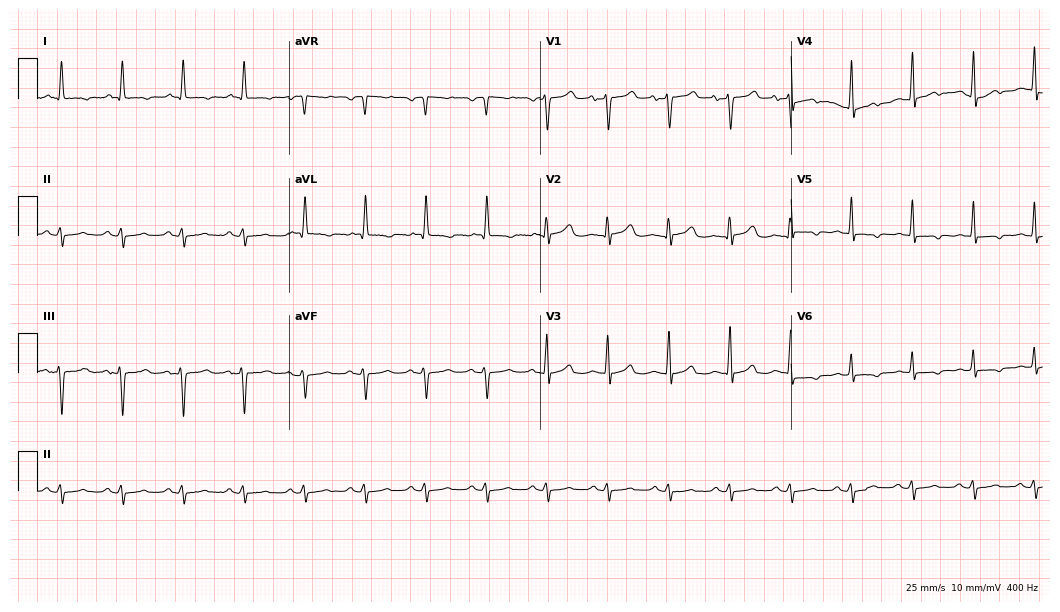
12-lead ECG from a male patient, 75 years old (10.2-second recording at 400 Hz). No first-degree AV block, right bundle branch block, left bundle branch block, sinus bradycardia, atrial fibrillation or sinus tachycardia recorded for this tracing.